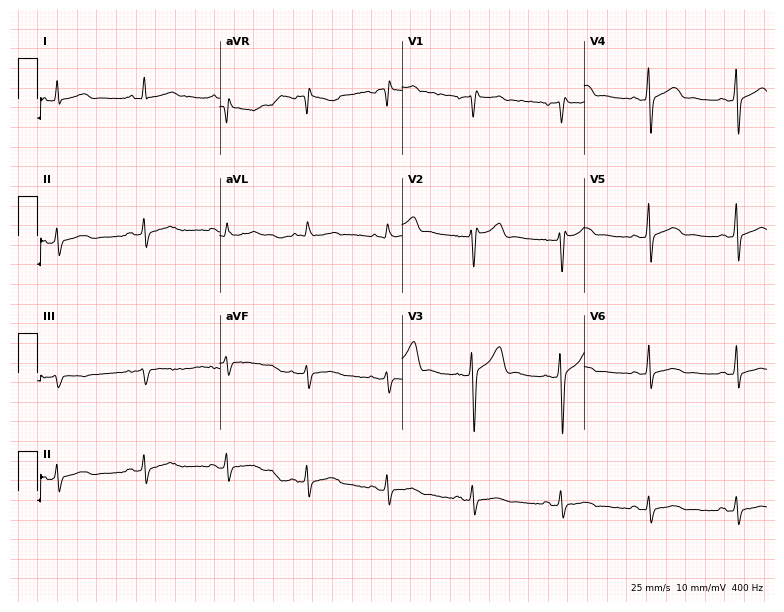
Standard 12-lead ECG recorded from a man, 28 years old. Read as a normal ECG.